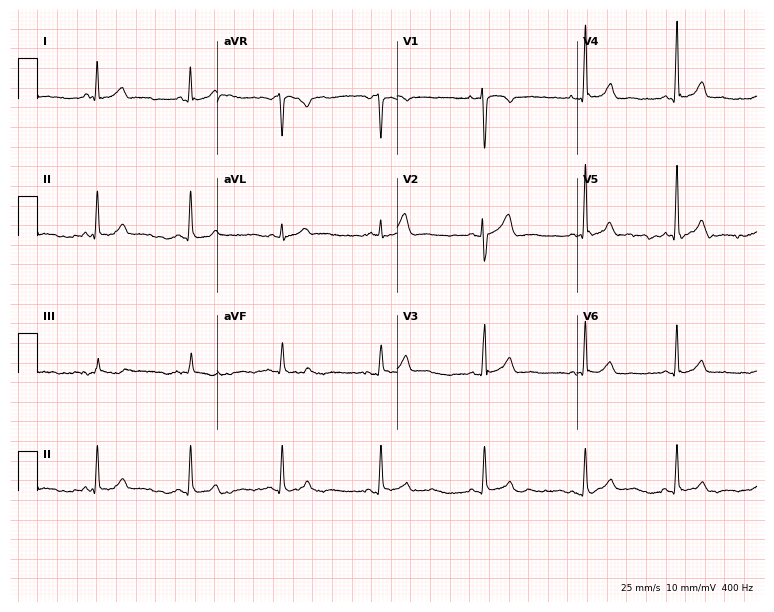
Electrocardiogram, a 35-year-old female patient. Overall reading on record: normal ECG.